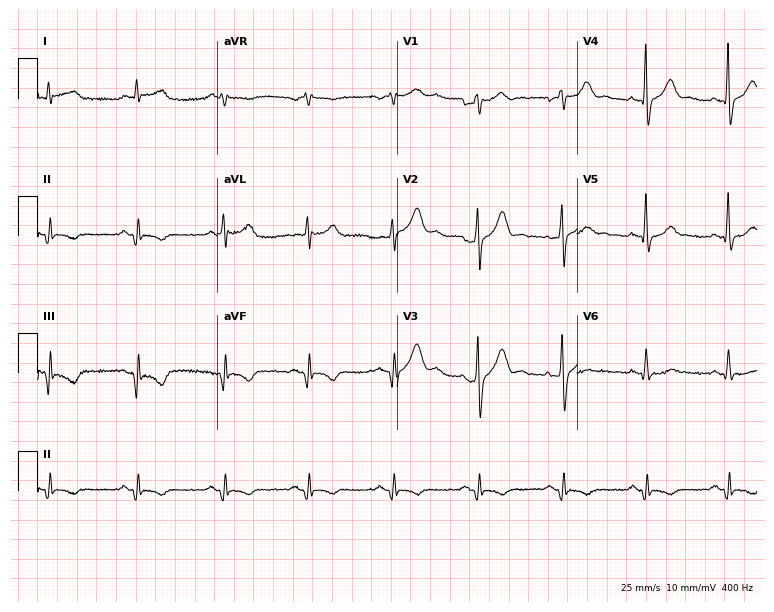
Resting 12-lead electrocardiogram. Patient: a 48-year-old man. None of these six findings is recorded: first-degree AV block, right bundle branch block, left bundle branch block, sinus bradycardia, atrial fibrillation, sinus tachycardia. Only these six findings were labelled.